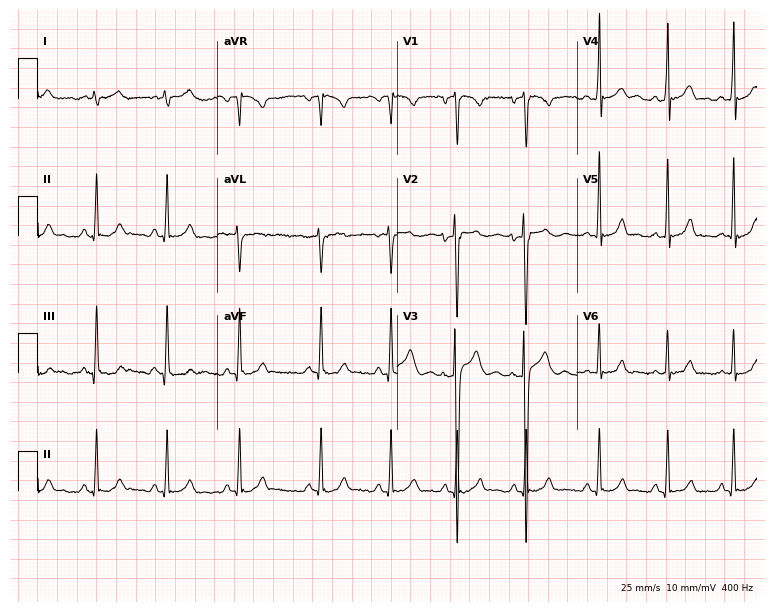
Standard 12-lead ECG recorded from a male patient, 26 years old. None of these six findings is recorded: first-degree AV block, right bundle branch block, left bundle branch block, sinus bradycardia, atrial fibrillation, sinus tachycardia.